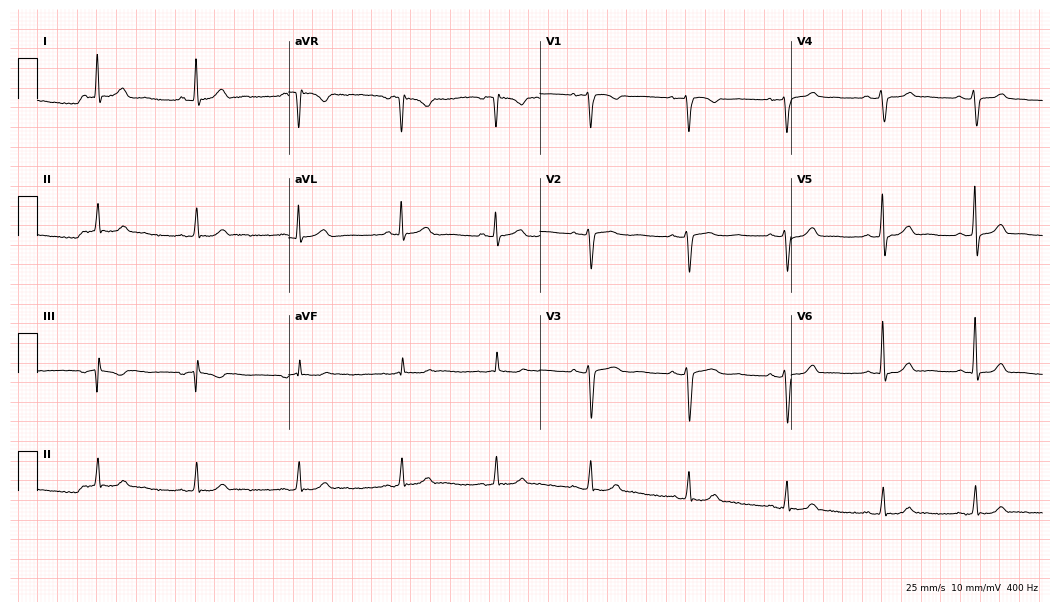
Electrocardiogram (10.2-second recording at 400 Hz), a 39-year-old woman. Of the six screened findings (first-degree AV block, right bundle branch block (RBBB), left bundle branch block (LBBB), sinus bradycardia, atrial fibrillation (AF), sinus tachycardia), none is recorded.